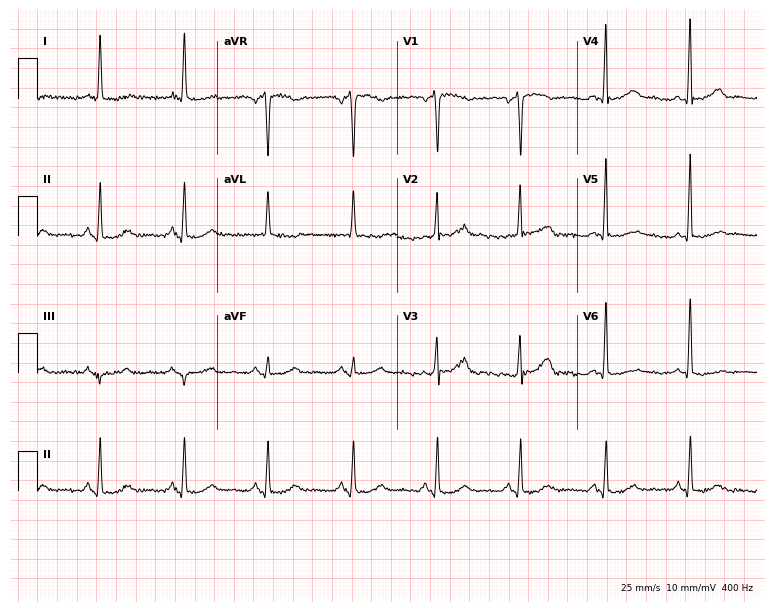
12-lead ECG from a woman, 38 years old (7.3-second recording at 400 Hz). No first-degree AV block, right bundle branch block, left bundle branch block, sinus bradycardia, atrial fibrillation or sinus tachycardia recorded for this tracing.